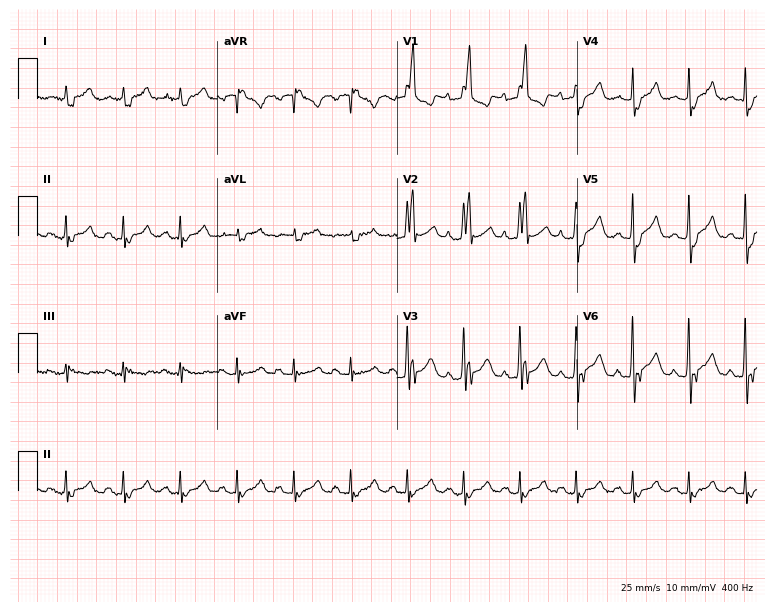
ECG — a man, 82 years old. Findings include right bundle branch block.